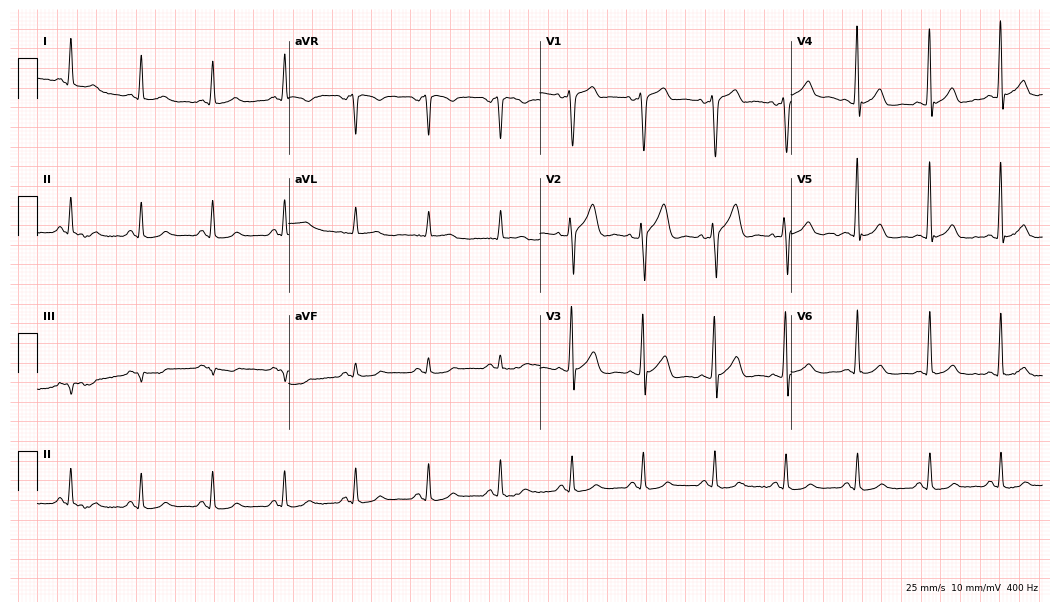
12-lead ECG from a male patient, 75 years old (10.2-second recording at 400 Hz). Recorded interpretation: within normal limits.